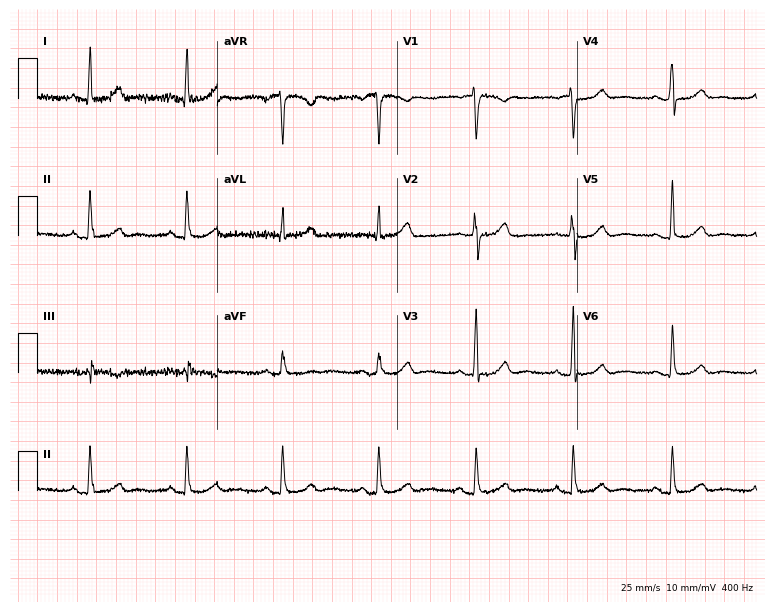
Resting 12-lead electrocardiogram. Patient: a 58-year-old female. Read as a normal ECG.